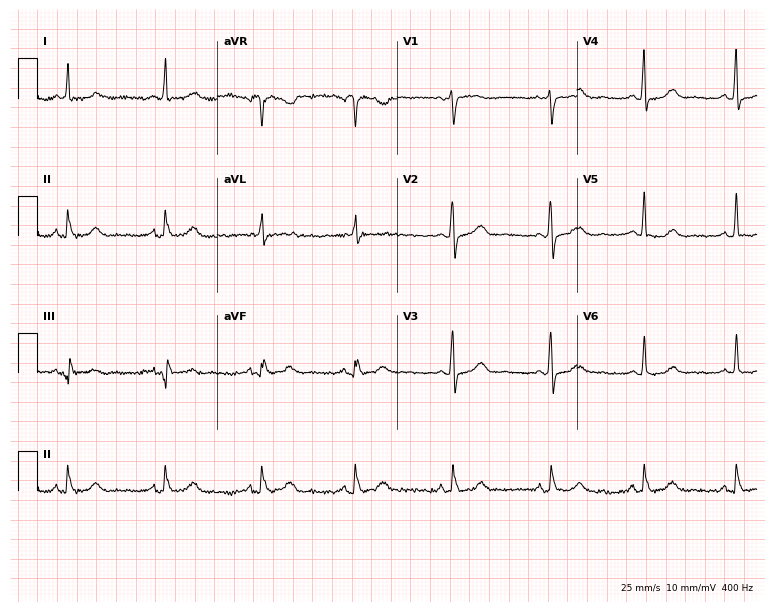
Electrocardiogram, a female, 53 years old. Of the six screened findings (first-degree AV block, right bundle branch block, left bundle branch block, sinus bradycardia, atrial fibrillation, sinus tachycardia), none is recorded.